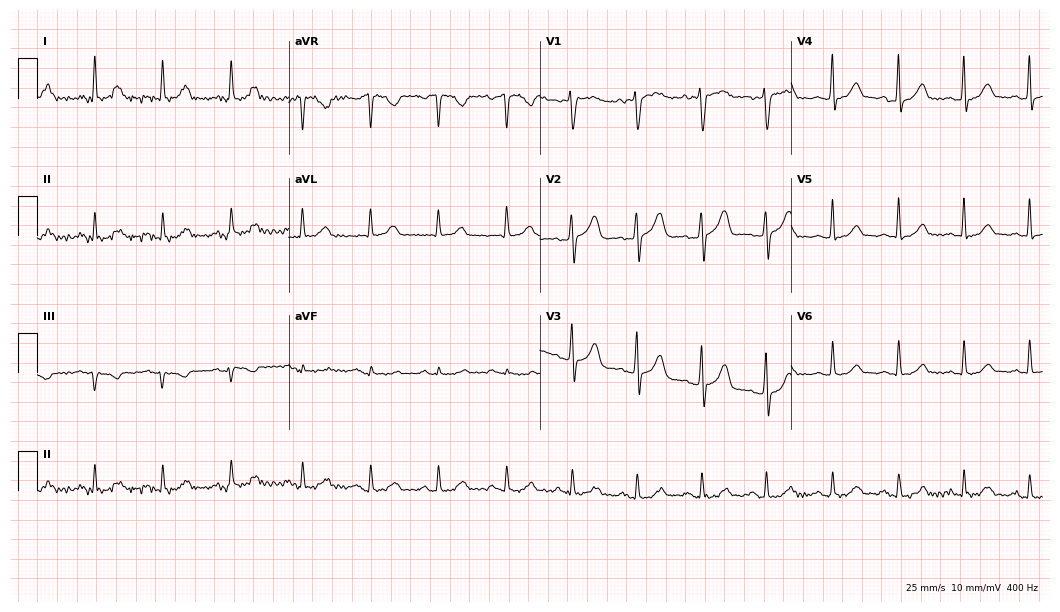
Electrocardiogram, a 42-year-old female patient. Overall reading on record: normal ECG.